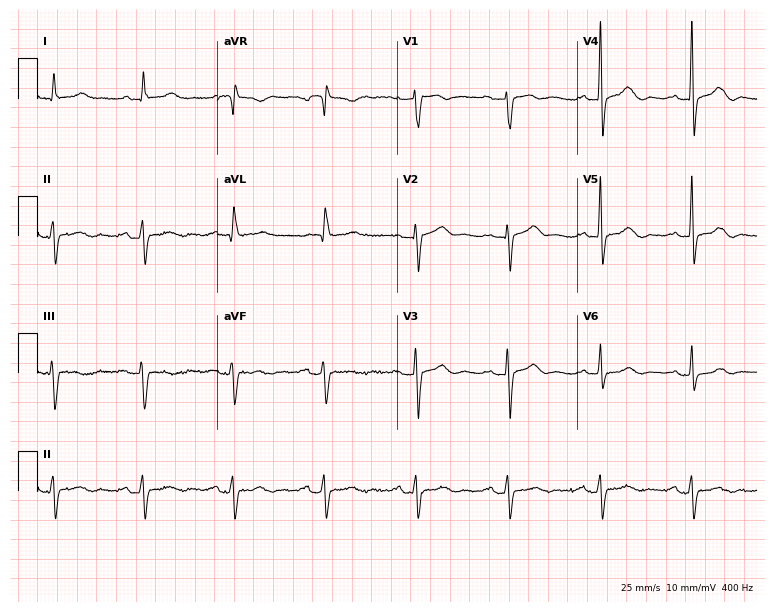
12-lead ECG from a man, 81 years old. No first-degree AV block, right bundle branch block, left bundle branch block, sinus bradycardia, atrial fibrillation or sinus tachycardia recorded for this tracing.